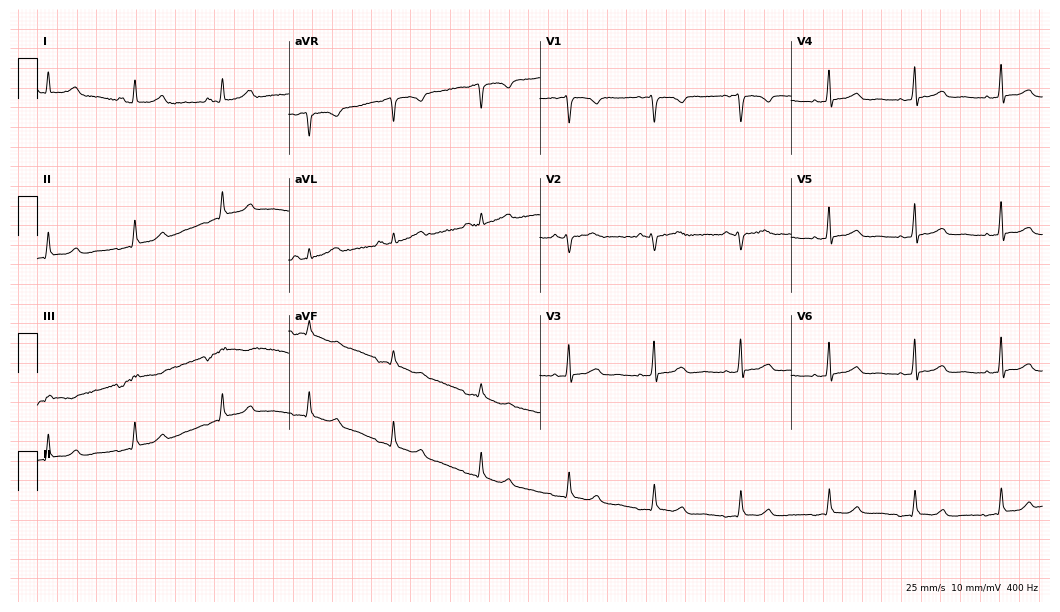
Resting 12-lead electrocardiogram (10.2-second recording at 400 Hz). Patient: a 63-year-old female. Read as a normal ECG.